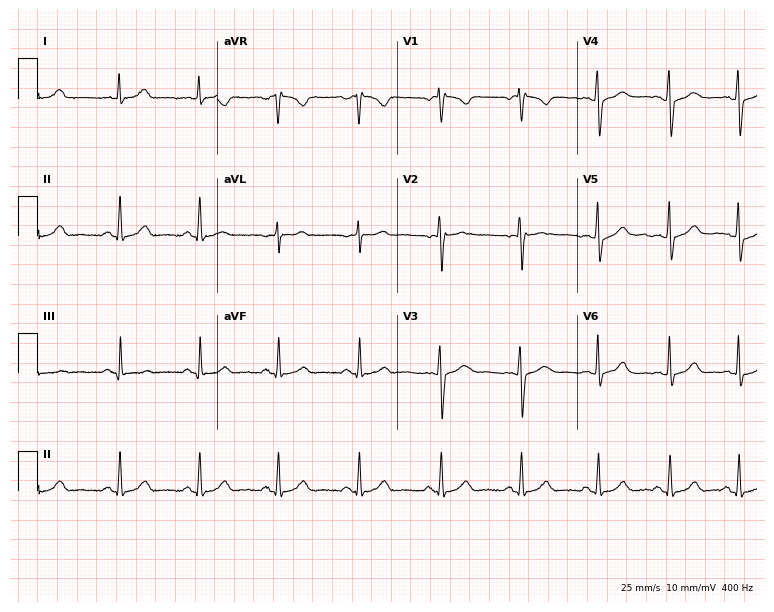
ECG — a 38-year-old female. Screened for six findings — first-degree AV block, right bundle branch block (RBBB), left bundle branch block (LBBB), sinus bradycardia, atrial fibrillation (AF), sinus tachycardia — none is recorded.